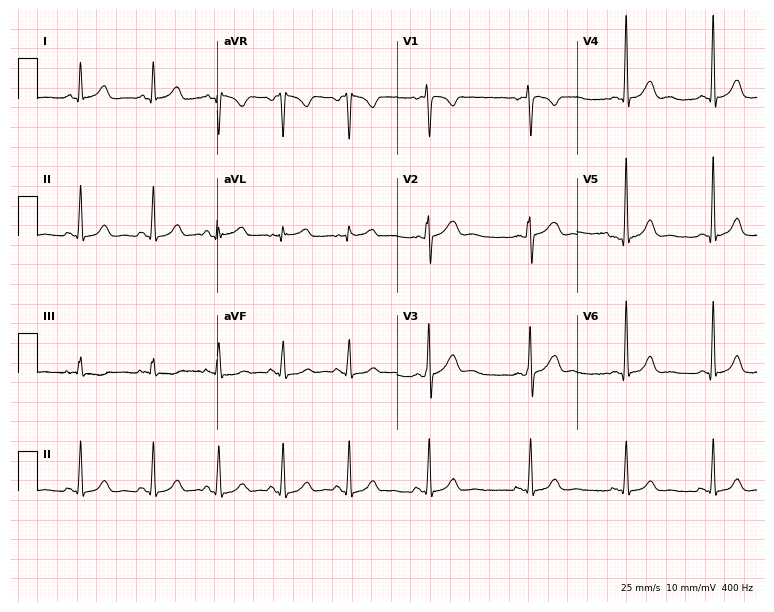
ECG — a female, 23 years old. Labelled as a normal ECG.